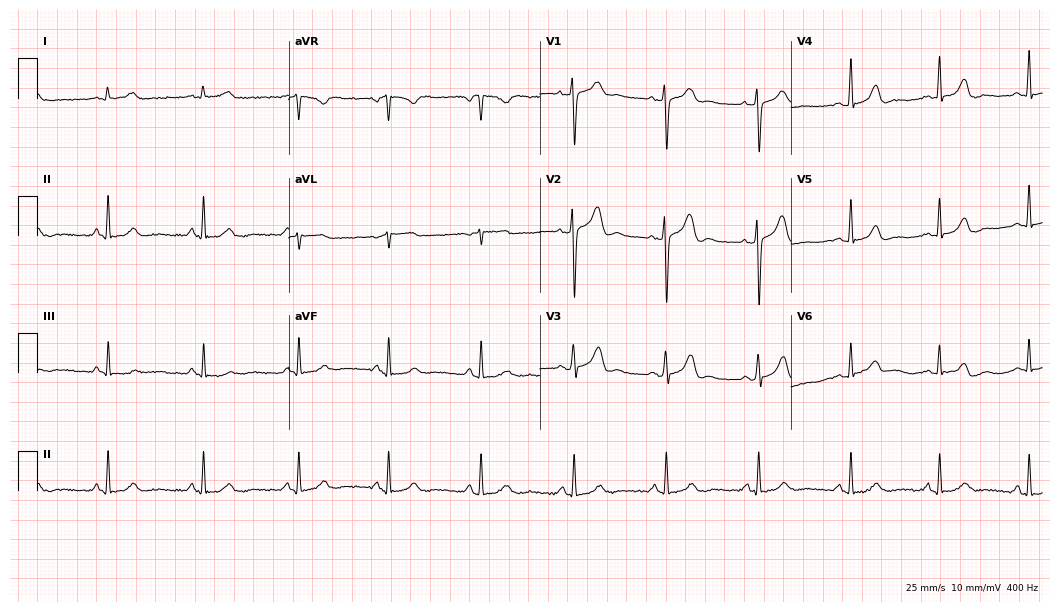
Resting 12-lead electrocardiogram (10.2-second recording at 400 Hz). Patient: a woman, 36 years old. Read as a normal ECG.